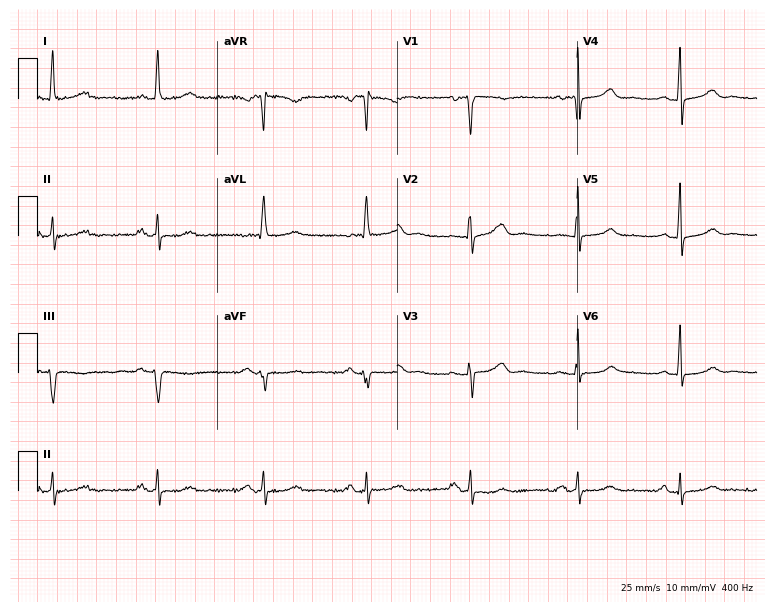
ECG (7.3-second recording at 400 Hz) — a woman, 71 years old. Screened for six findings — first-degree AV block, right bundle branch block (RBBB), left bundle branch block (LBBB), sinus bradycardia, atrial fibrillation (AF), sinus tachycardia — none is recorded.